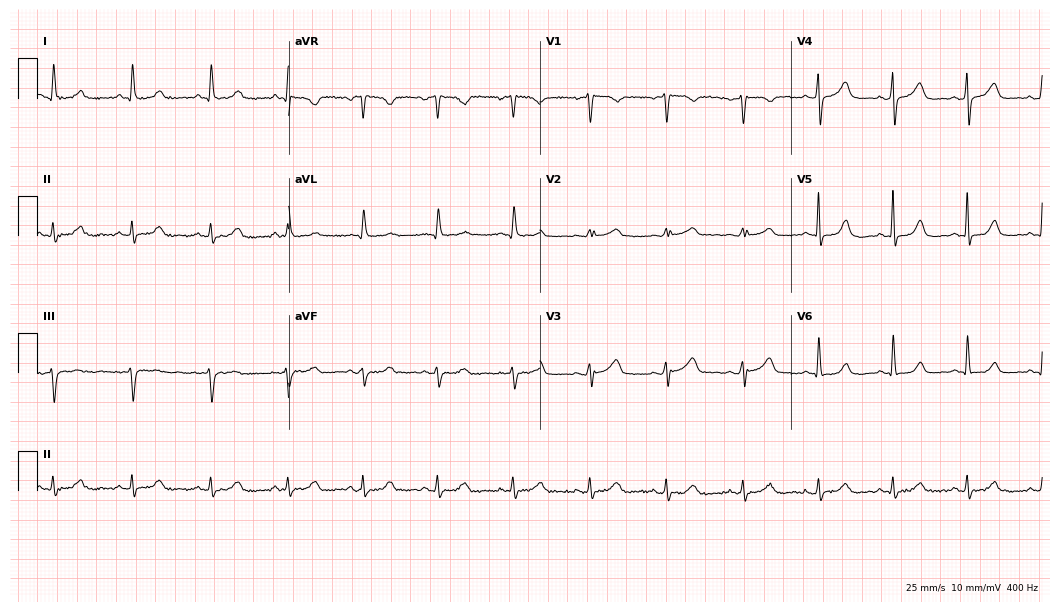
ECG (10.2-second recording at 400 Hz) — a female patient, 50 years old. Screened for six findings — first-degree AV block, right bundle branch block, left bundle branch block, sinus bradycardia, atrial fibrillation, sinus tachycardia — none is recorded. Other findings, if any, are not listed.